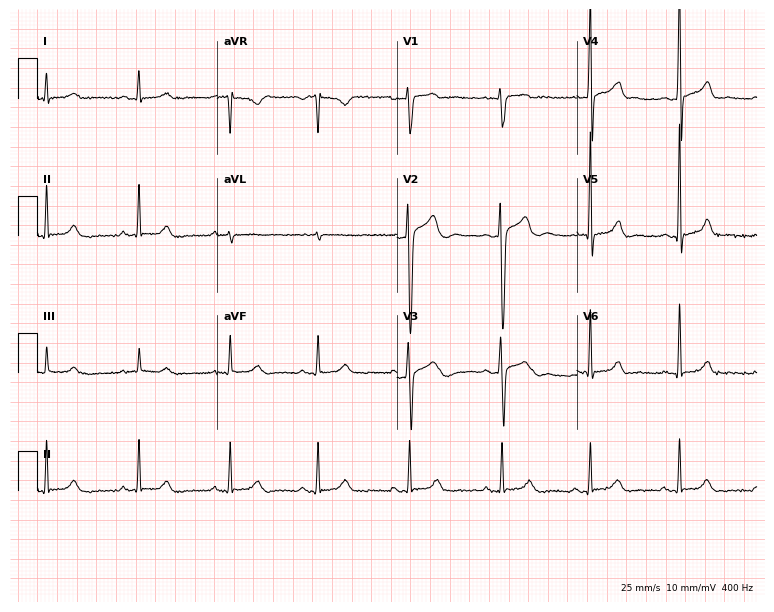
ECG (7.3-second recording at 400 Hz) — a male, 43 years old. Labelled as a normal ECG.